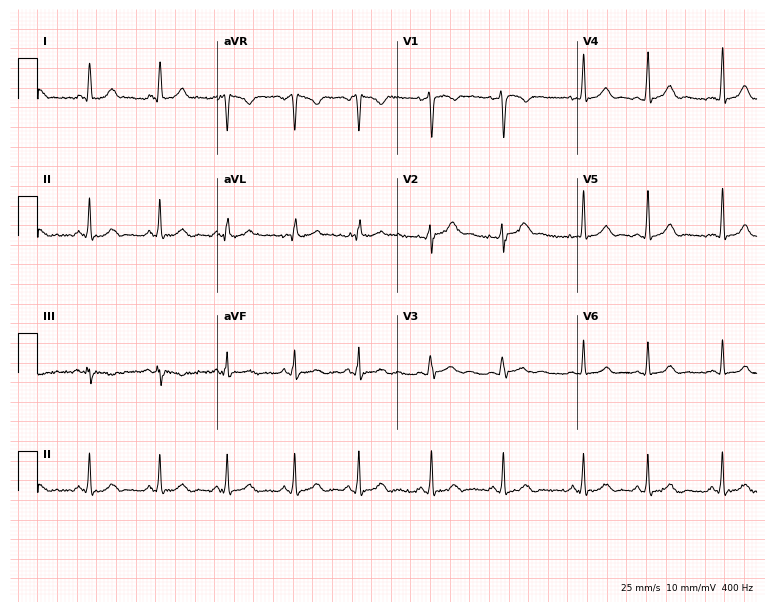
Electrocardiogram, a 21-year-old female. Overall reading on record: normal ECG.